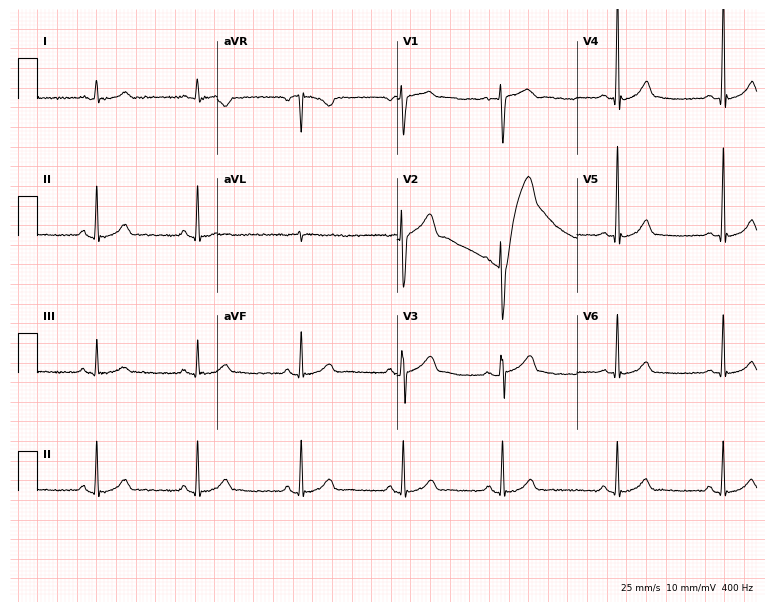
12-lead ECG from a male patient, 36 years old. Recorded interpretation: within normal limits.